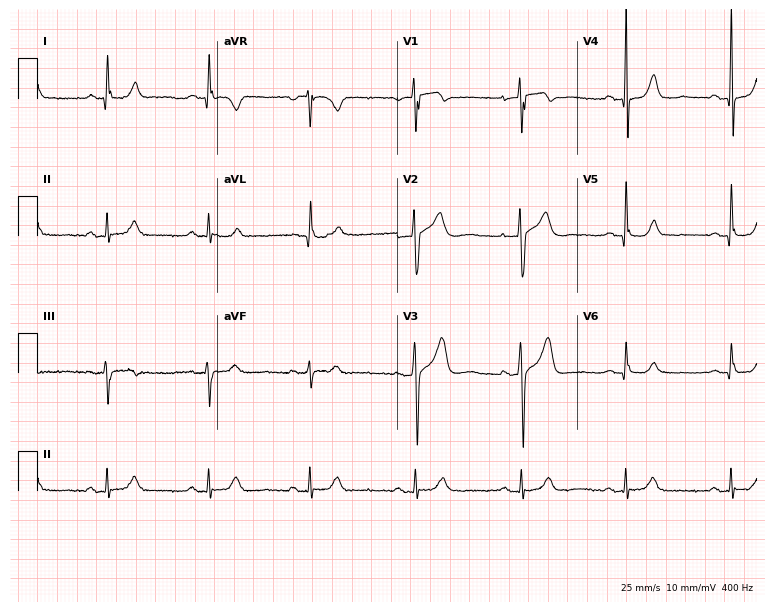
12-lead ECG from a 63-year-old man. Screened for six findings — first-degree AV block, right bundle branch block, left bundle branch block, sinus bradycardia, atrial fibrillation, sinus tachycardia — none is recorded.